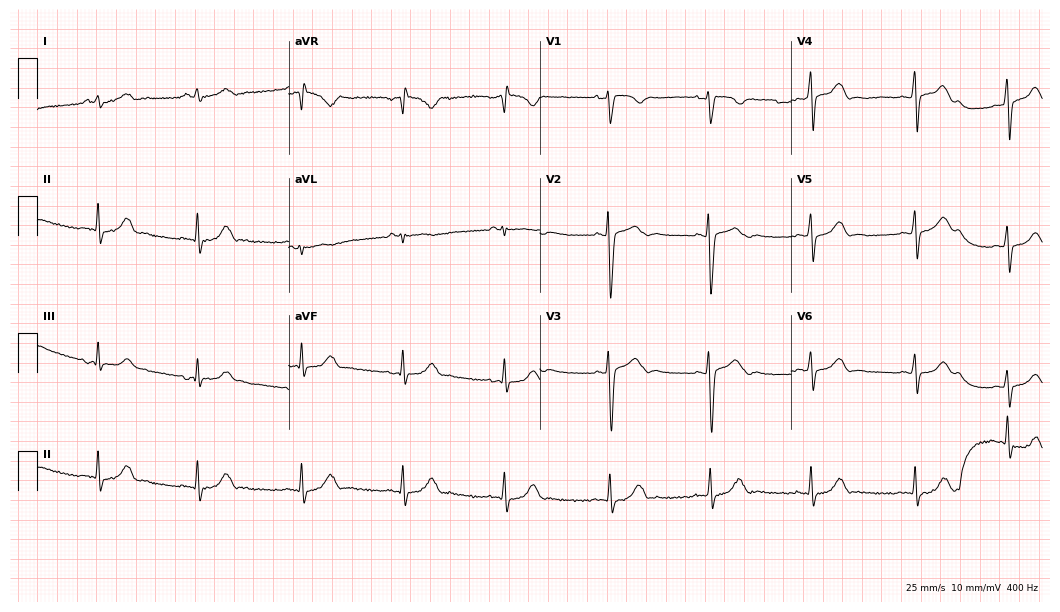
Electrocardiogram, a 19-year-old woman. Of the six screened findings (first-degree AV block, right bundle branch block, left bundle branch block, sinus bradycardia, atrial fibrillation, sinus tachycardia), none is recorded. Only these six findings were labelled.